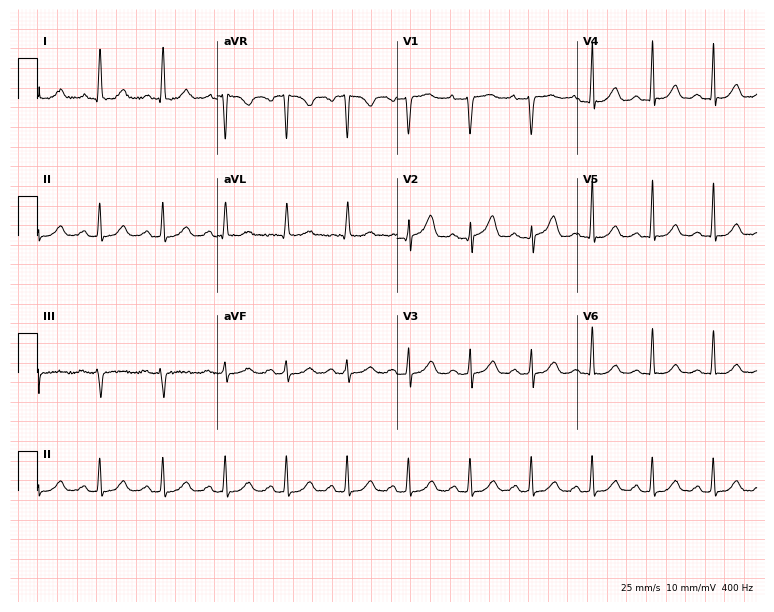
Electrocardiogram (7.3-second recording at 400 Hz), a 54-year-old woman. Of the six screened findings (first-degree AV block, right bundle branch block, left bundle branch block, sinus bradycardia, atrial fibrillation, sinus tachycardia), none is recorded. Only these six findings were labelled.